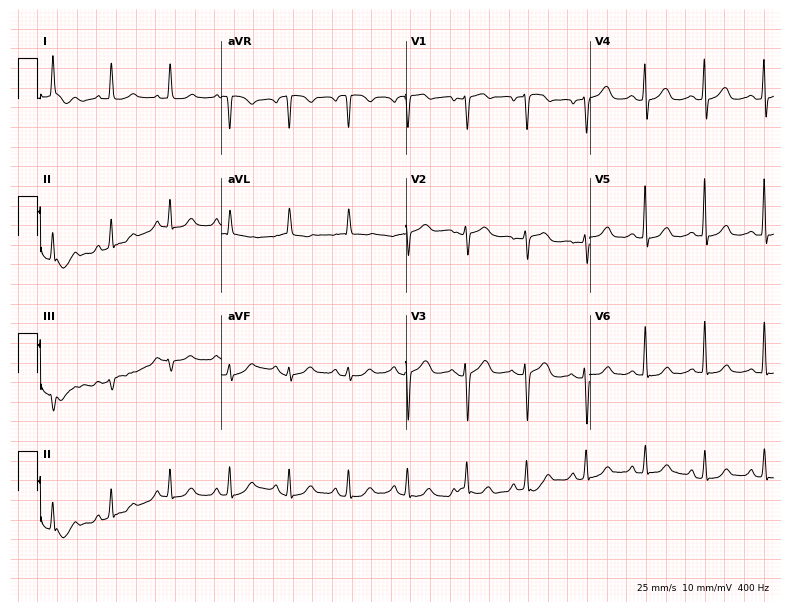
ECG — a 73-year-old woman. Labelled as a normal ECG.